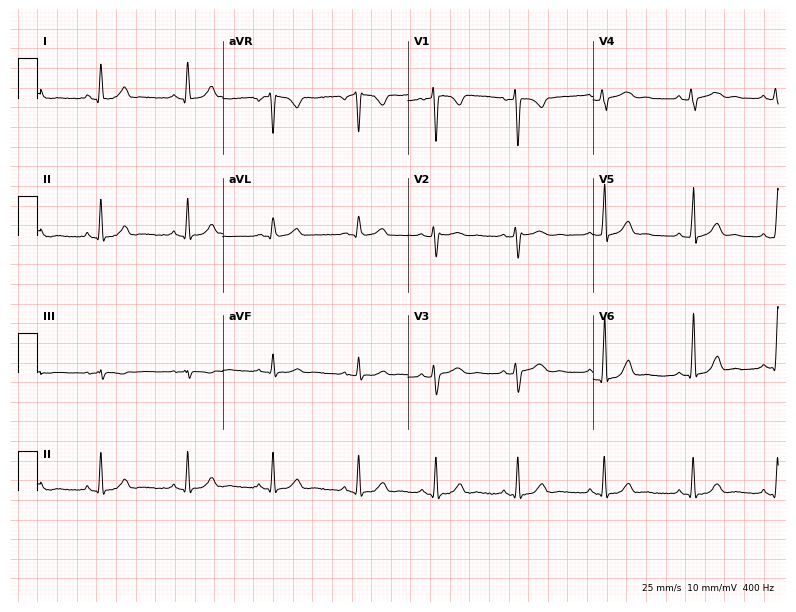
12-lead ECG from a 19-year-old woman. Recorded interpretation: within normal limits.